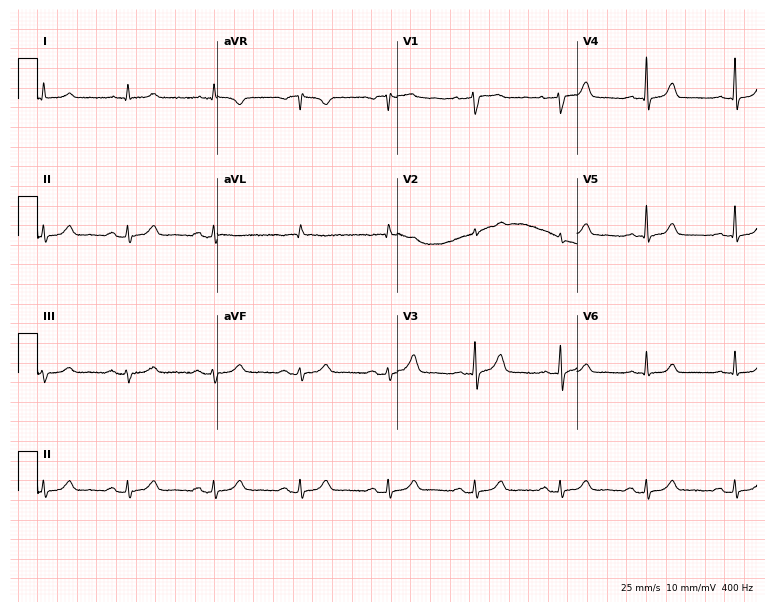
ECG — a 67-year-old male patient. Labelled as a normal ECG.